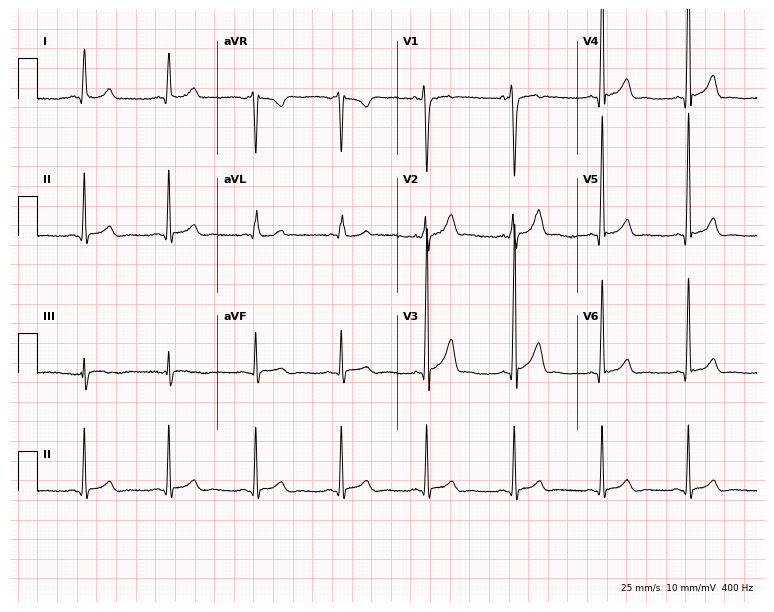
ECG (7.3-second recording at 400 Hz) — a 22-year-old male patient. Labelled as a normal ECG.